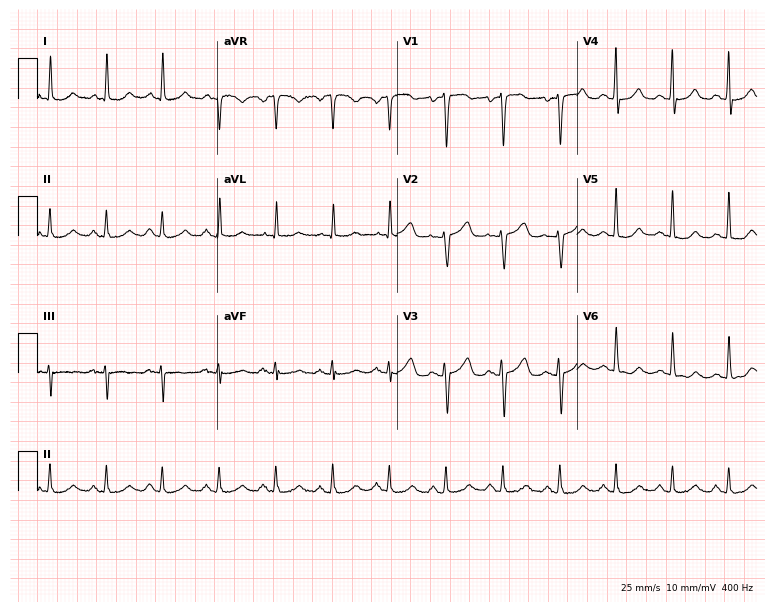
Standard 12-lead ECG recorded from a 76-year-old female patient (7.3-second recording at 400 Hz). The tracing shows sinus tachycardia (a sinus rate of 100 beats per minute or more).